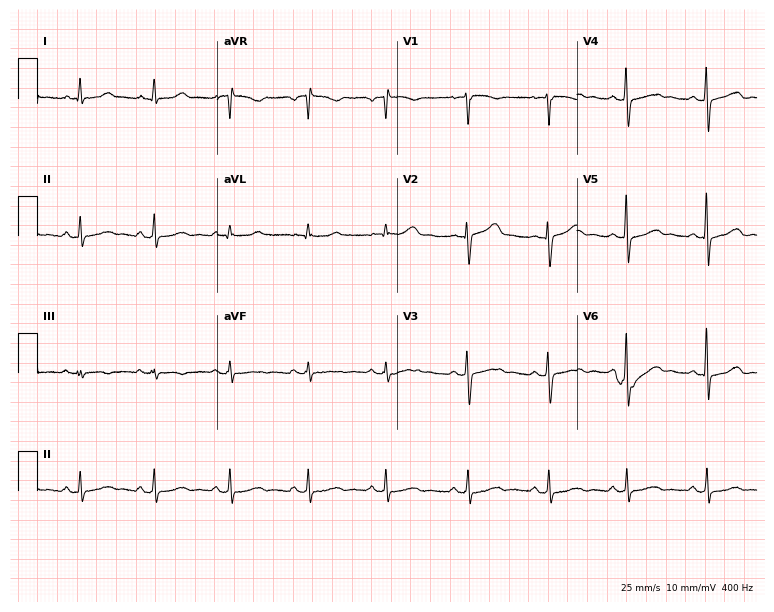
12-lead ECG (7.3-second recording at 400 Hz) from a female patient, 43 years old. Screened for six findings — first-degree AV block, right bundle branch block, left bundle branch block, sinus bradycardia, atrial fibrillation, sinus tachycardia — none is recorded. Other findings, if any, are not listed.